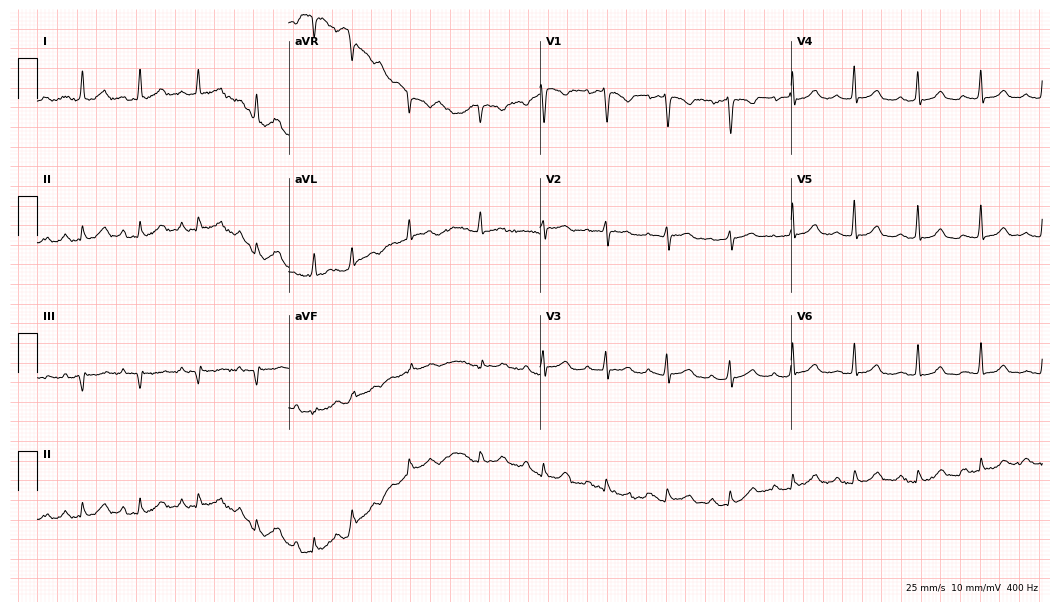
12-lead ECG from an 85-year-old female patient. Labelled as a normal ECG.